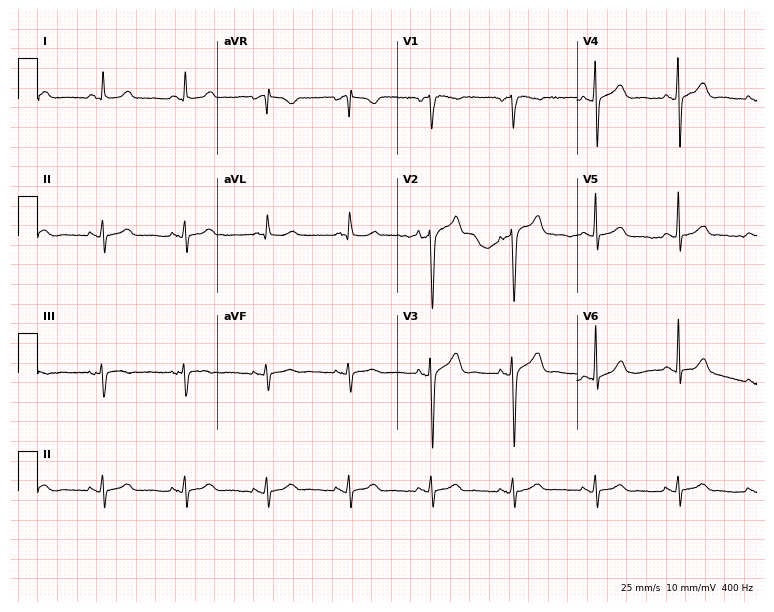
Electrocardiogram (7.3-second recording at 400 Hz), a man, 59 years old. Of the six screened findings (first-degree AV block, right bundle branch block (RBBB), left bundle branch block (LBBB), sinus bradycardia, atrial fibrillation (AF), sinus tachycardia), none is recorded.